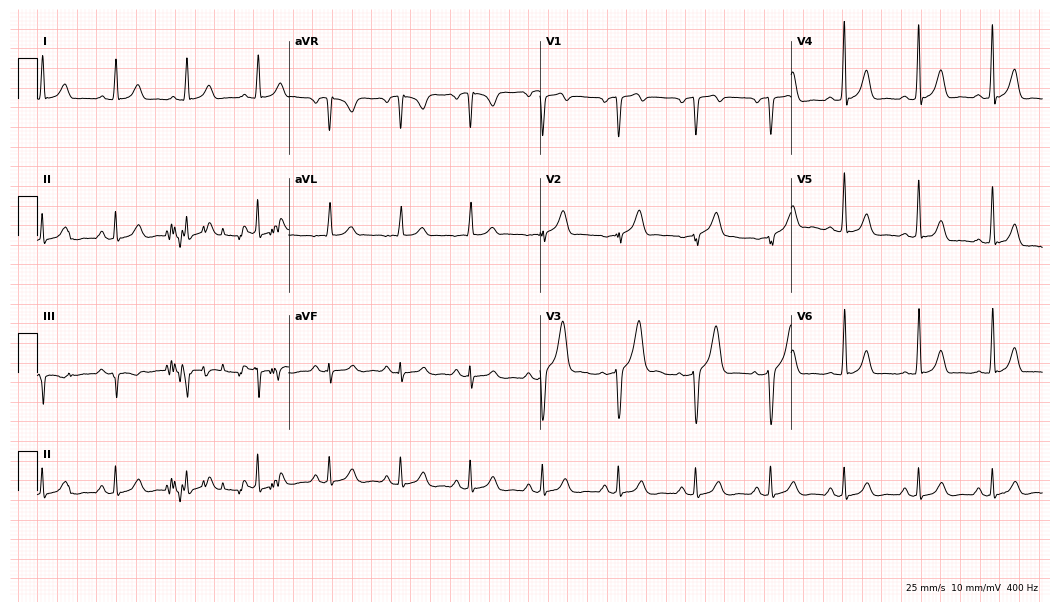
12-lead ECG from a 44-year-old male. Screened for six findings — first-degree AV block, right bundle branch block, left bundle branch block, sinus bradycardia, atrial fibrillation, sinus tachycardia — none is recorded.